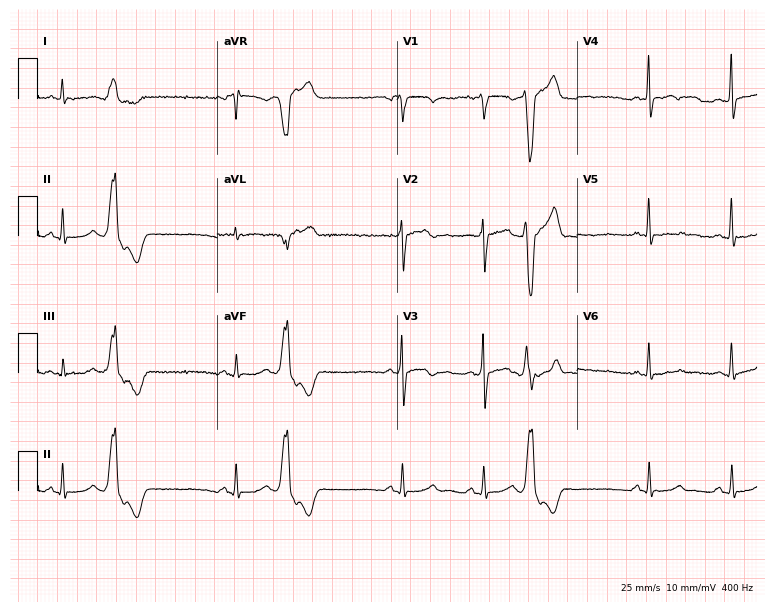
12-lead ECG from a 55-year-old male patient. Screened for six findings — first-degree AV block, right bundle branch block, left bundle branch block, sinus bradycardia, atrial fibrillation, sinus tachycardia — none is recorded.